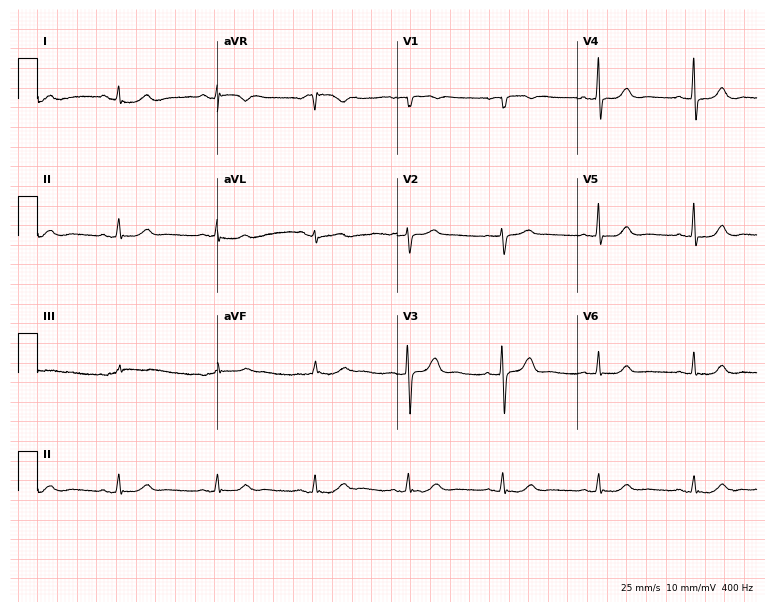
ECG (7.3-second recording at 400 Hz) — a female, 68 years old. Screened for six findings — first-degree AV block, right bundle branch block, left bundle branch block, sinus bradycardia, atrial fibrillation, sinus tachycardia — none is recorded. Other findings, if any, are not listed.